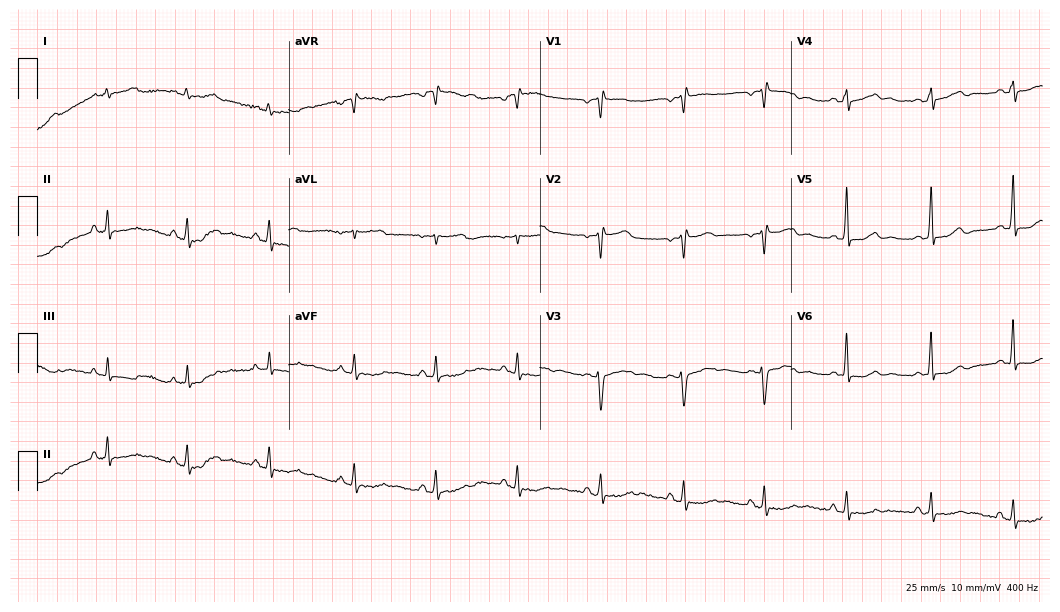
Electrocardiogram, a 45-year-old female. Of the six screened findings (first-degree AV block, right bundle branch block (RBBB), left bundle branch block (LBBB), sinus bradycardia, atrial fibrillation (AF), sinus tachycardia), none is recorded.